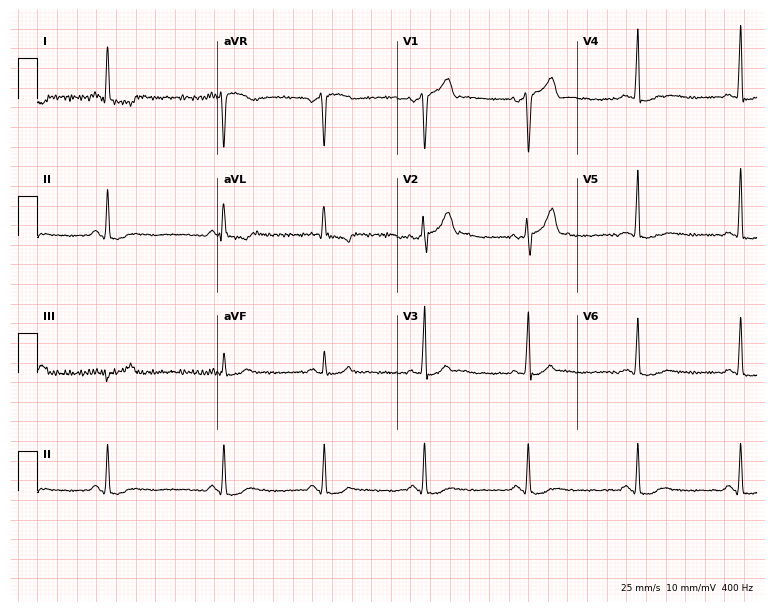
Electrocardiogram (7.3-second recording at 400 Hz), a 33-year-old male. Of the six screened findings (first-degree AV block, right bundle branch block (RBBB), left bundle branch block (LBBB), sinus bradycardia, atrial fibrillation (AF), sinus tachycardia), none is recorded.